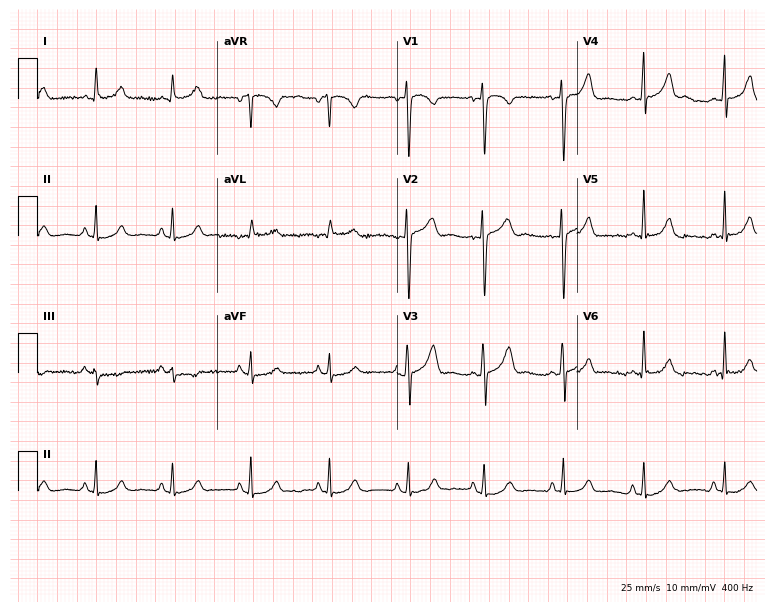
ECG — a 24-year-old woman. Labelled as a normal ECG.